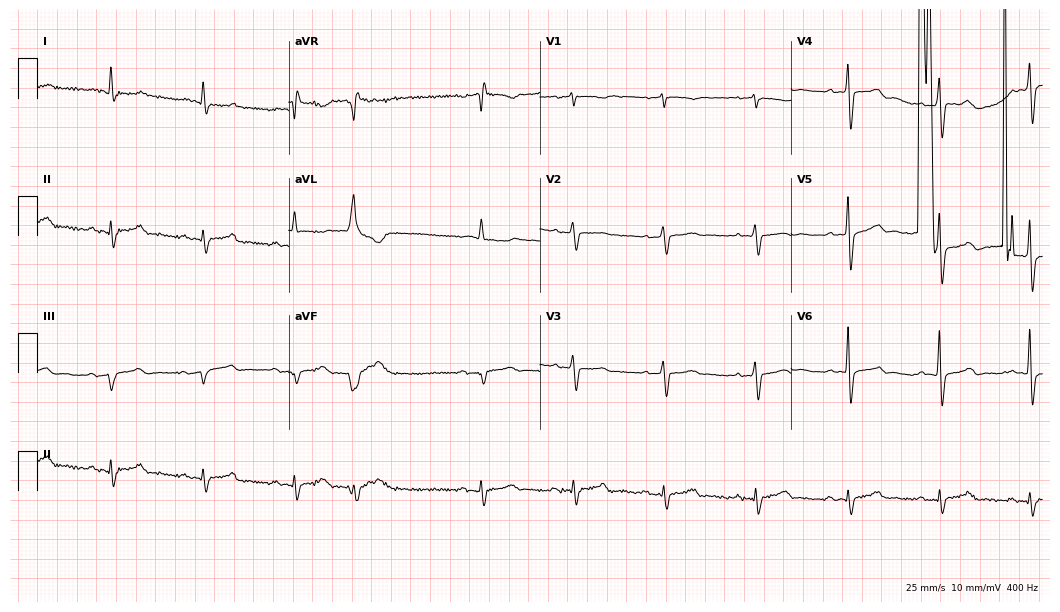
Standard 12-lead ECG recorded from a male, 75 years old (10.2-second recording at 400 Hz). None of these six findings is recorded: first-degree AV block, right bundle branch block (RBBB), left bundle branch block (LBBB), sinus bradycardia, atrial fibrillation (AF), sinus tachycardia. Findings outside these six are not listed.